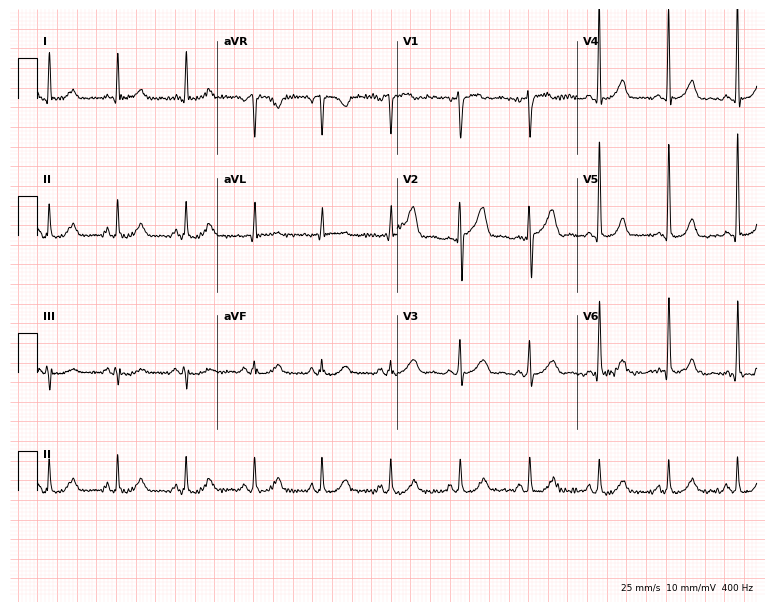
Standard 12-lead ECG recorded from a man, 61 years old. Read as a normal ECG.